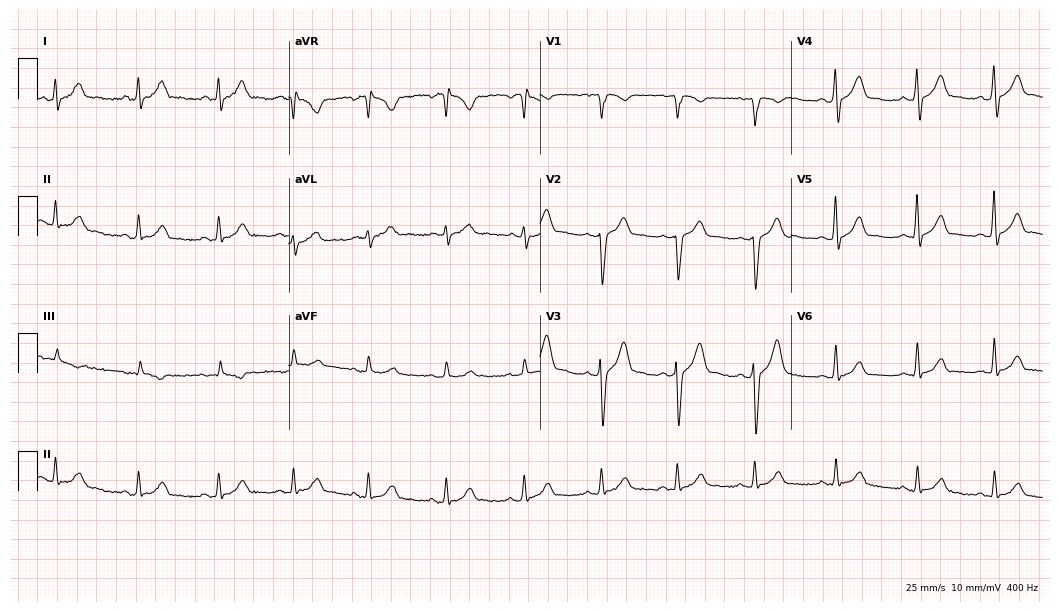
12-lead ECG (10.2-second recording at 400 Hz) from a male, 35 years old. Labelled as a normal ECG.